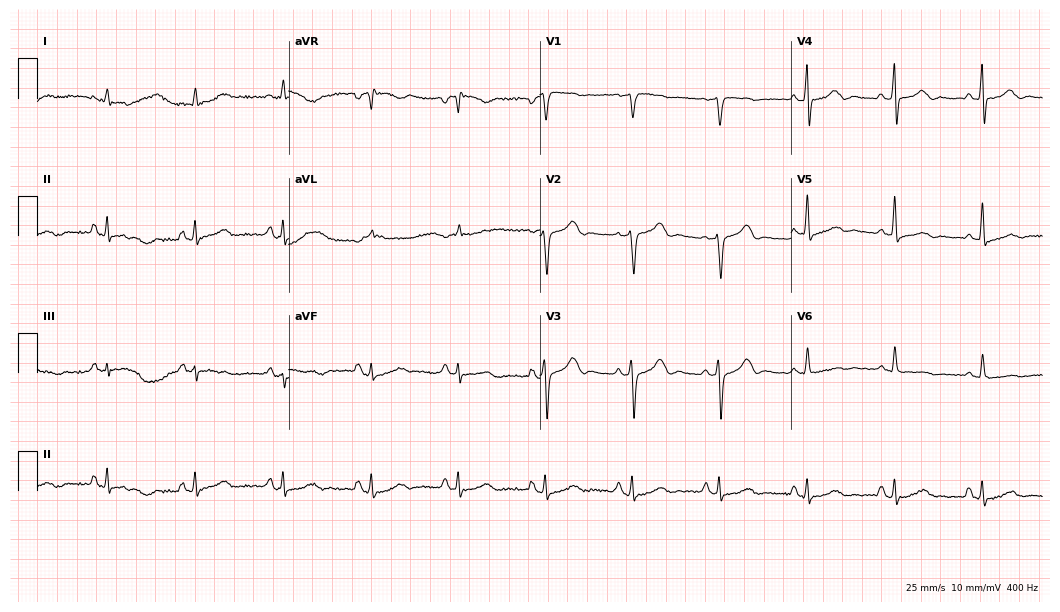
12-lead ECG (10.2-second recording at 400 Hz) from a 64-year-old man. Screened for six findings — first-degree AV block, right bundle branch block, left bundle branch block, sinus bradycardia, atrial fibrillation, sinus tachycardia — none is recorded. Findings outside these six are not listed.